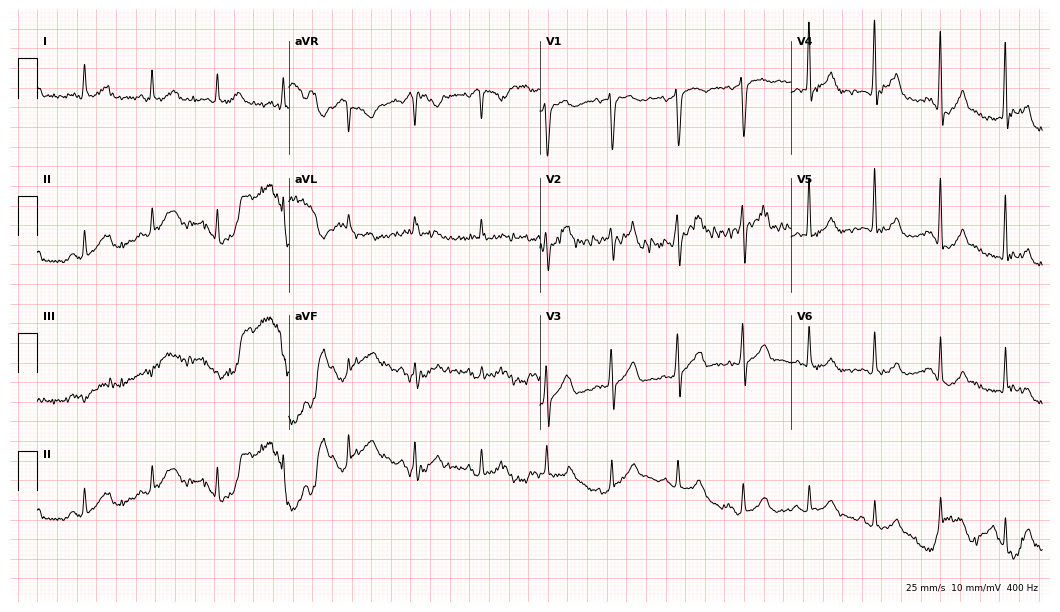
Electrocardiogram (10.2-second recording at 400 Hz), a 60-year-old man. Of the six screened findings (first-degree AV block, right bundle branch block, left bundle branch block, sinus bradycardia, atrial fibrillation, sinus tachycardia), none is recorded.